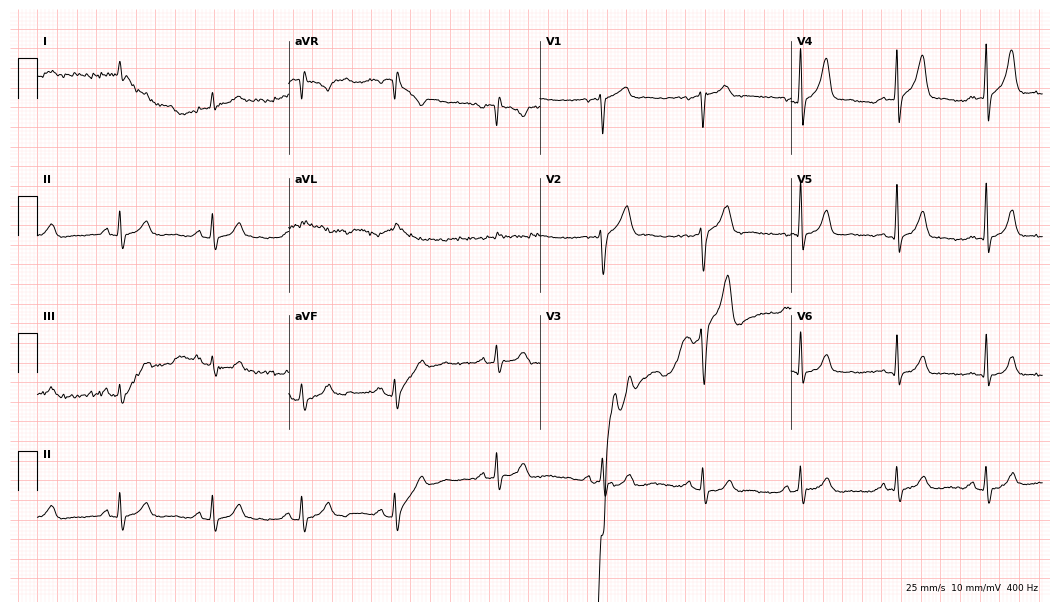
Electrocardiogram, a 60-year-old man. Overall reading on record: normal ECG.